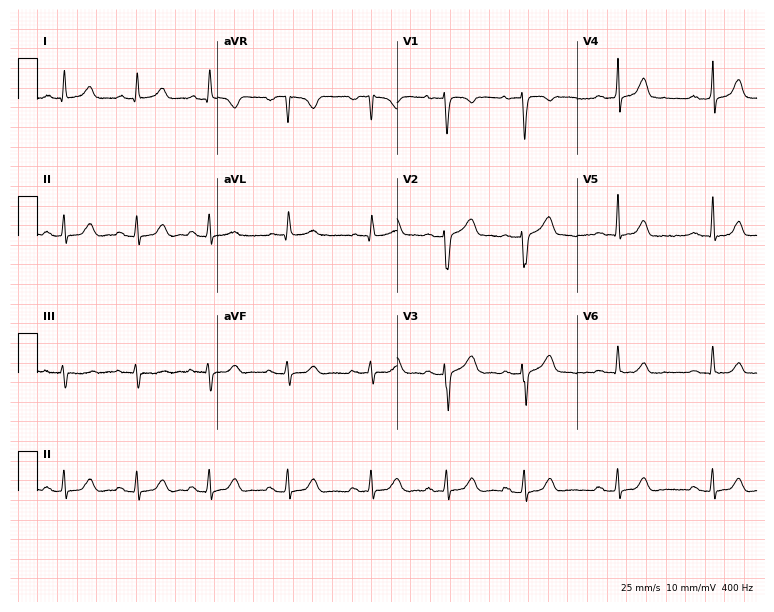
Electrocardiogram (7.3-second recording at 400 Hz), a 31-year-old woman. Overall reading on record: normal ECG.